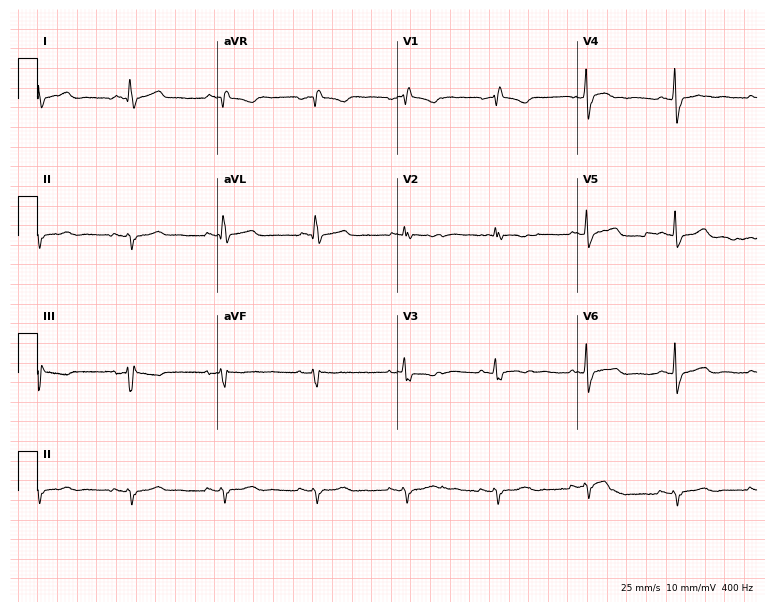
Resting 12-lead electrocardiogram. Patient: a female, 48 years old. None of these six findings is recorded: first-degree AV block, right bundle branch block, left bundle branch block, sinus bradycardia, atrial fibrillation, sinus tachycardia.